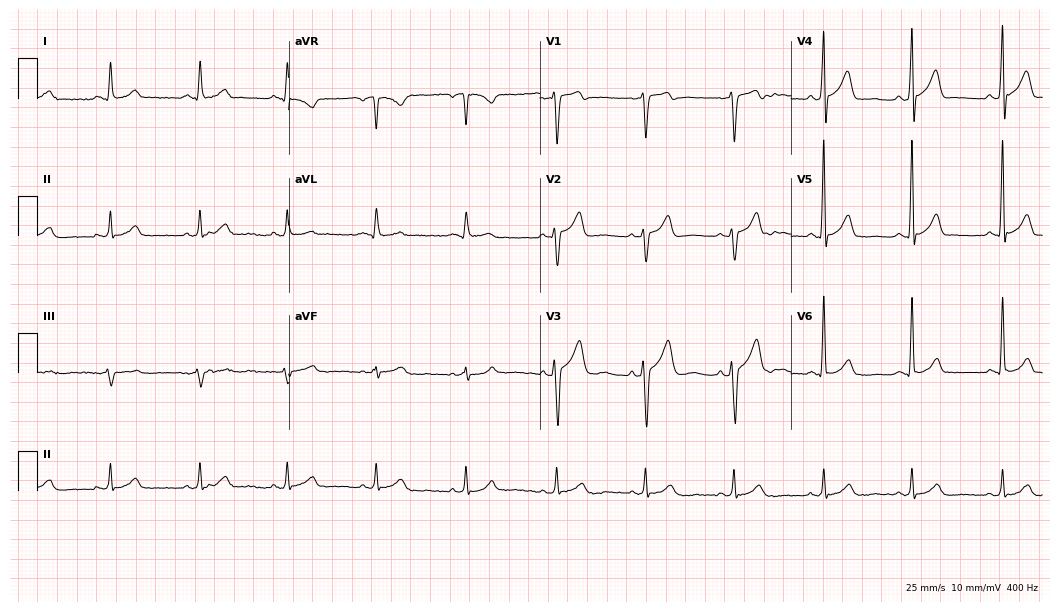
ECG (10.2-second recording at 400 Hz) — a male, 50 years old. Labelled as a normal ECG.